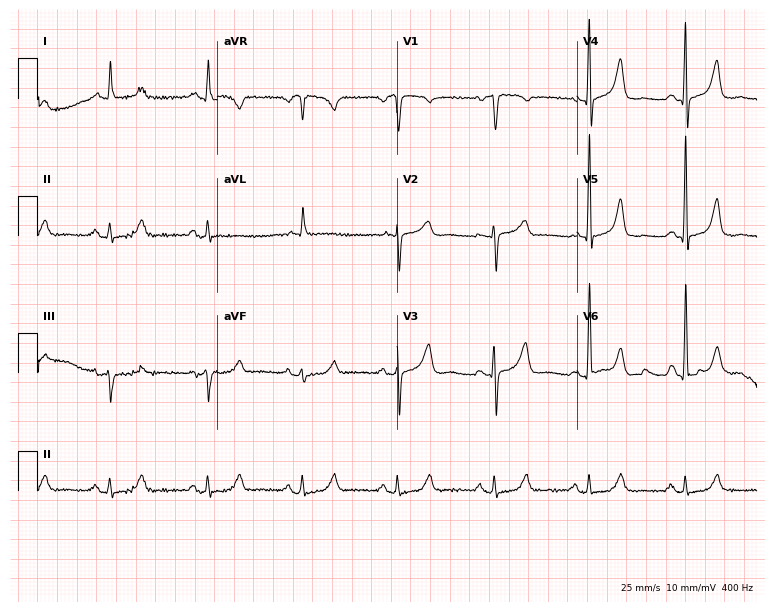
Resting 12-lead electrocardiogram. Patient: a female, 76 years old. None of these six findings is recorded: first-degree AV block, right bundle branch block, left bundle branch block, sinus bradycardia, atrial fibrillation, sinus tachycardia.